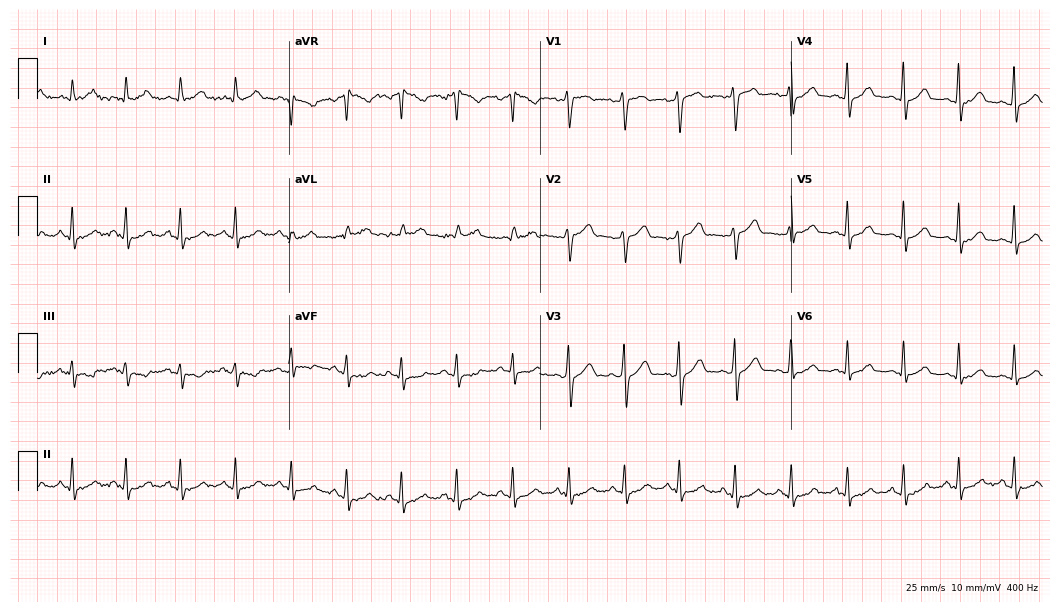
12-lead ECG from a 53-year-old female patient. Findings include sinus tachycardia (a sinus rate of 100 beats per minute or more).